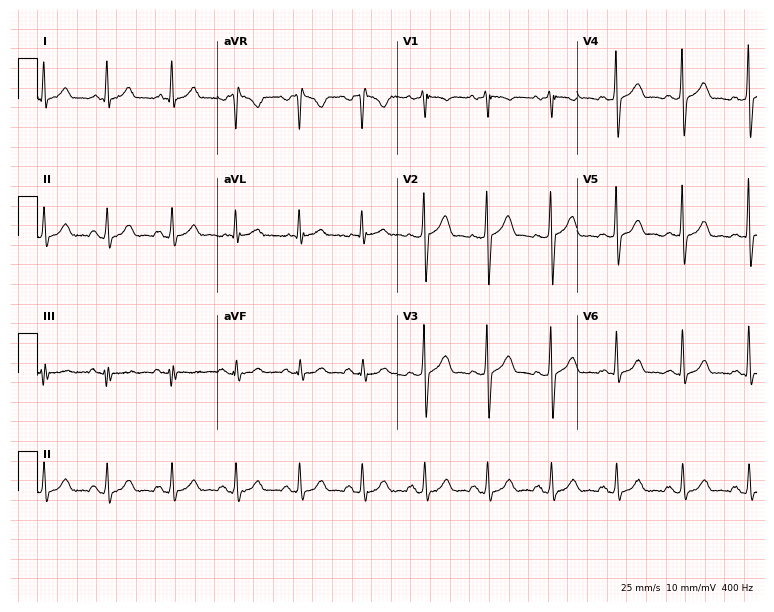
12-lead ECG from a 52-year-old male patient (7.3-second recording at 400 Hz). Recorded interpretation: within normal limits.